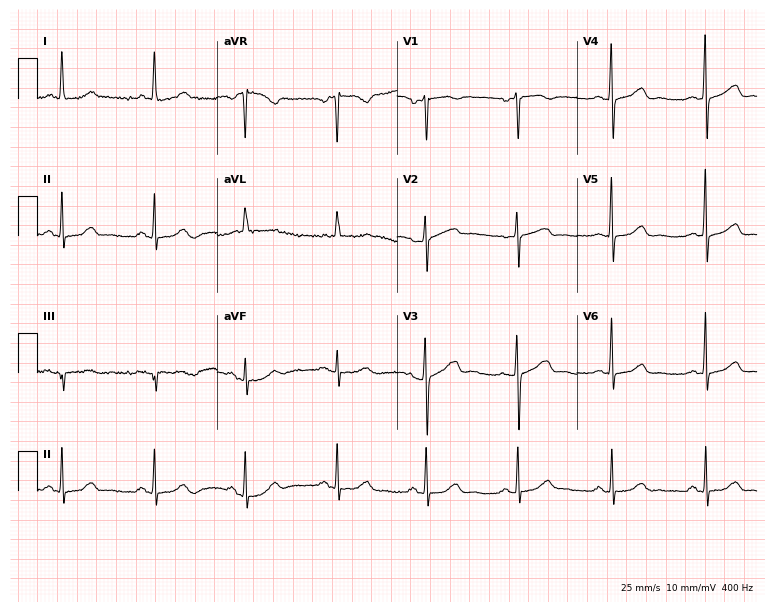
12-lead ECG from a female, 62 years old (7.3-second recording at 400 Hz). Recorded interpretation: within normal limits.